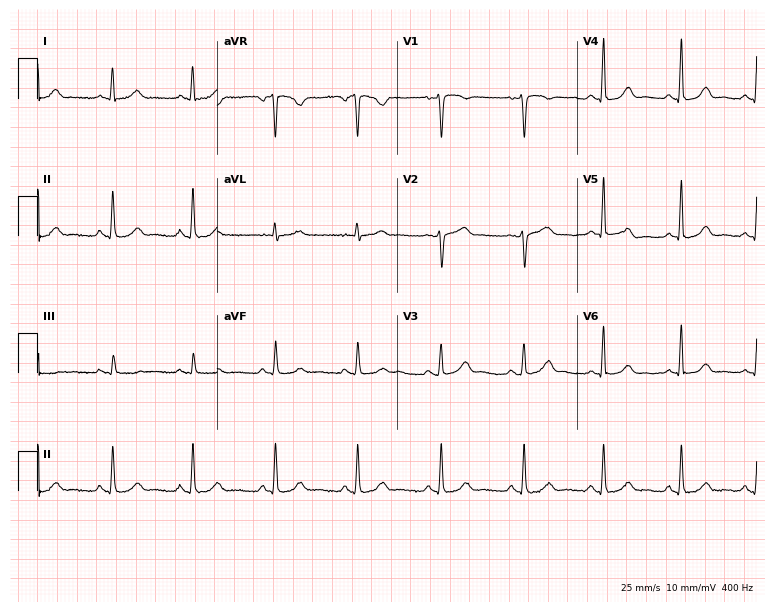
12-lead ECG from a female patient, 42 years old. No first-degree AV block, right bundle branch block, left bundle branch block, sinus bradycardia, atrial fibrillation or sinus tachycardia recorded for this tracing.